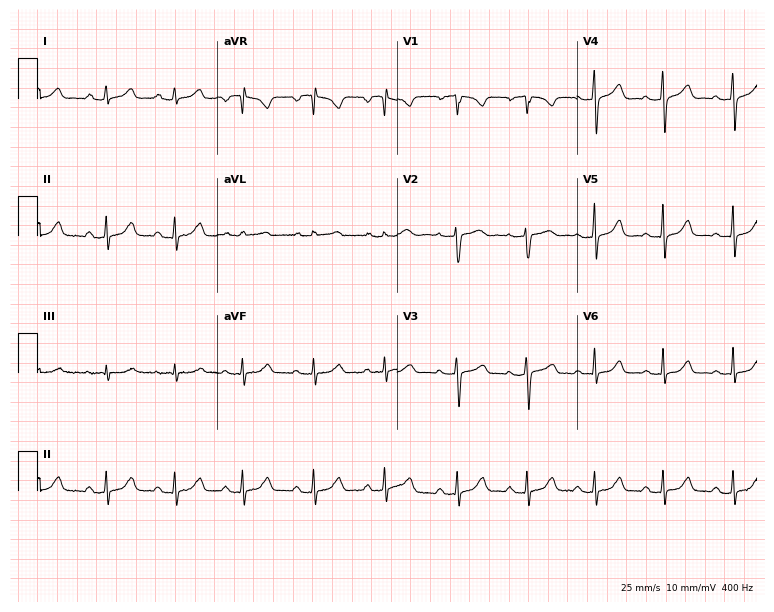
12-lead ECG (7.3-second recording at 400 Hz) from a woman, 27 years old. Labelled as a normal ECG.